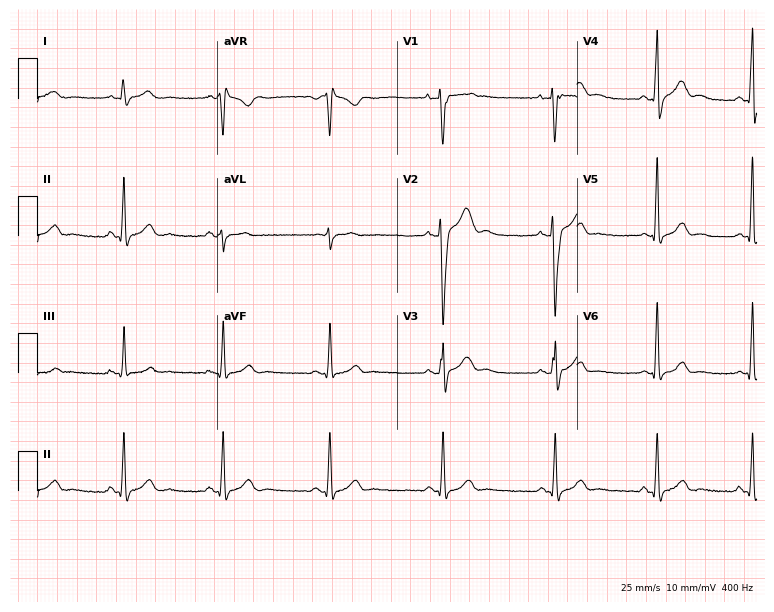
12-lead ECG from a 23-year-old man (7.3-second recording at 400 Hz). Recorded interpretation: within normal limits.